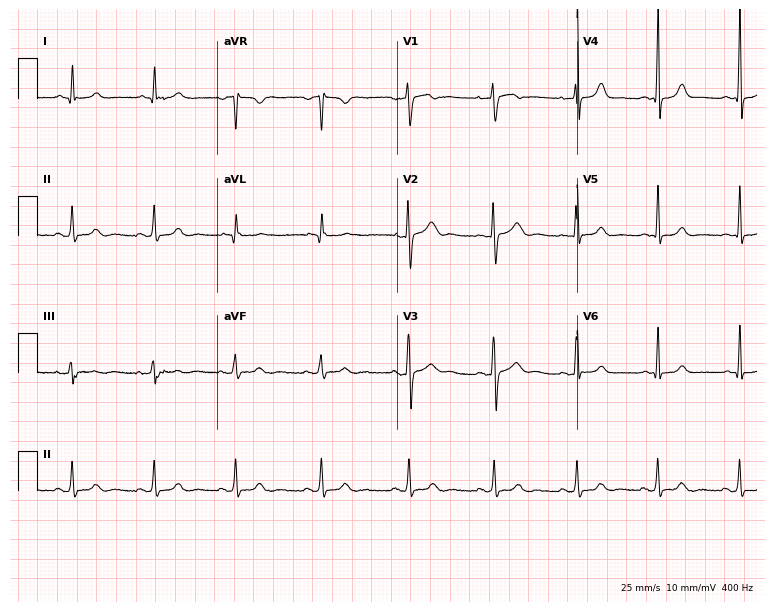
12-lead ECG from a female patient, 34 years old. Screened for six findings — first-degree AV block, right bundle branch block, left bundle branch block, sinus bradycardia, atrial fibrillation, sinus tachycardia — none is recorded.